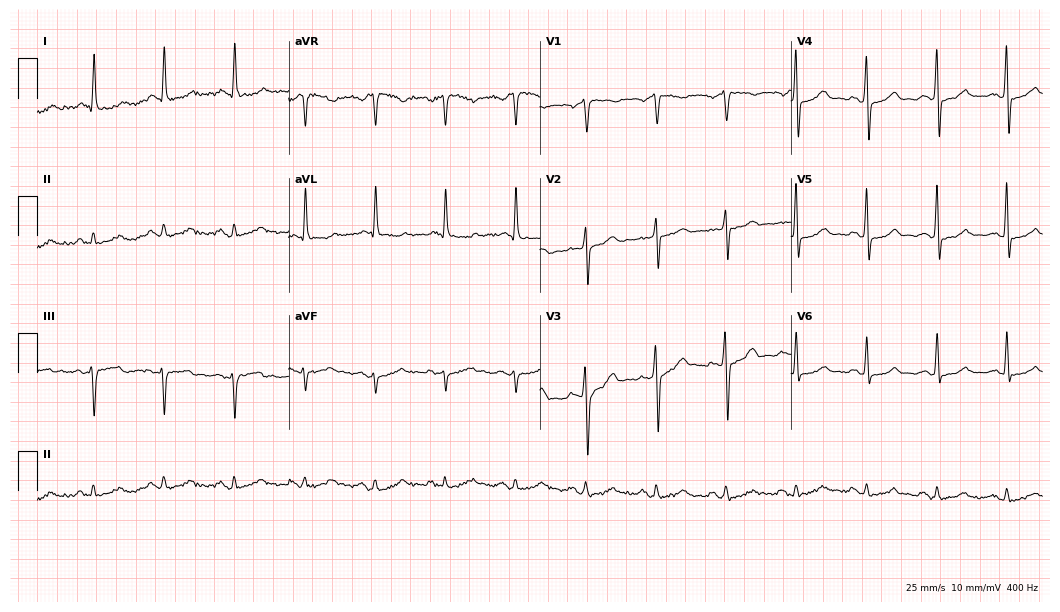
ECG (10.2-second recording at 400 Hz) — an 82-year-old male. Labelled as a normal ECG.